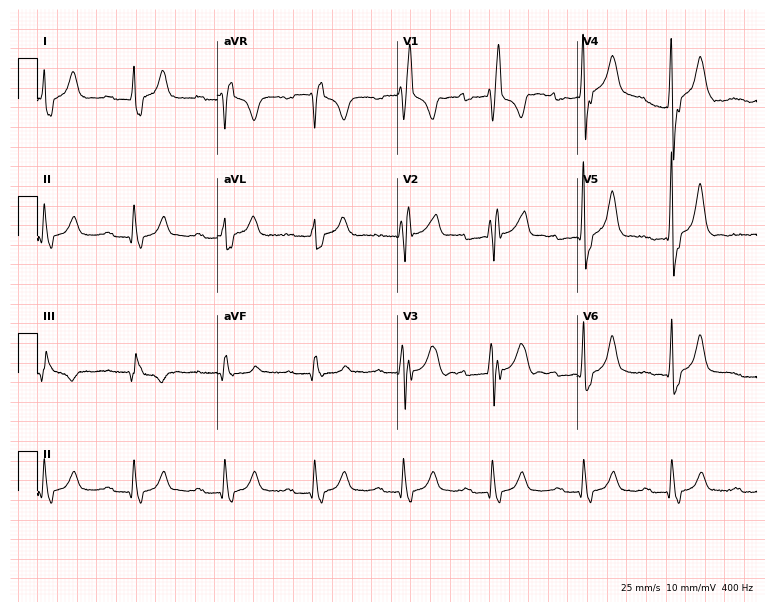
12-lead ECG from a male, 58 years old. Shows first-degree AV block, right bundle branch block (RBBB).